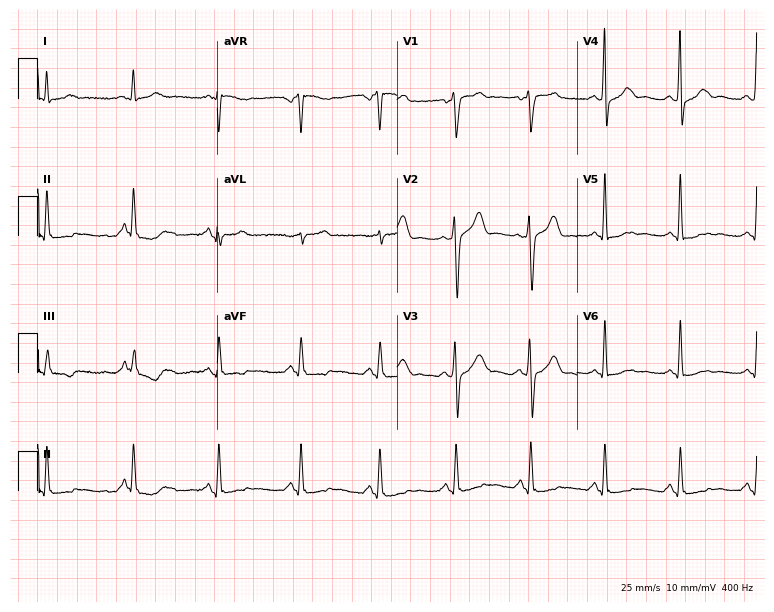
Standard 12-lead ECG recorded from a 68-year-old male patient (7.3-second recording at 400 Hz). None of these six findings is recorded: first-degree AV block, right bundle branch block, left bundle branch block, sinus bradycardia, atrial fibrillation, sinus tachycardia. Findings outside these six are not listed.